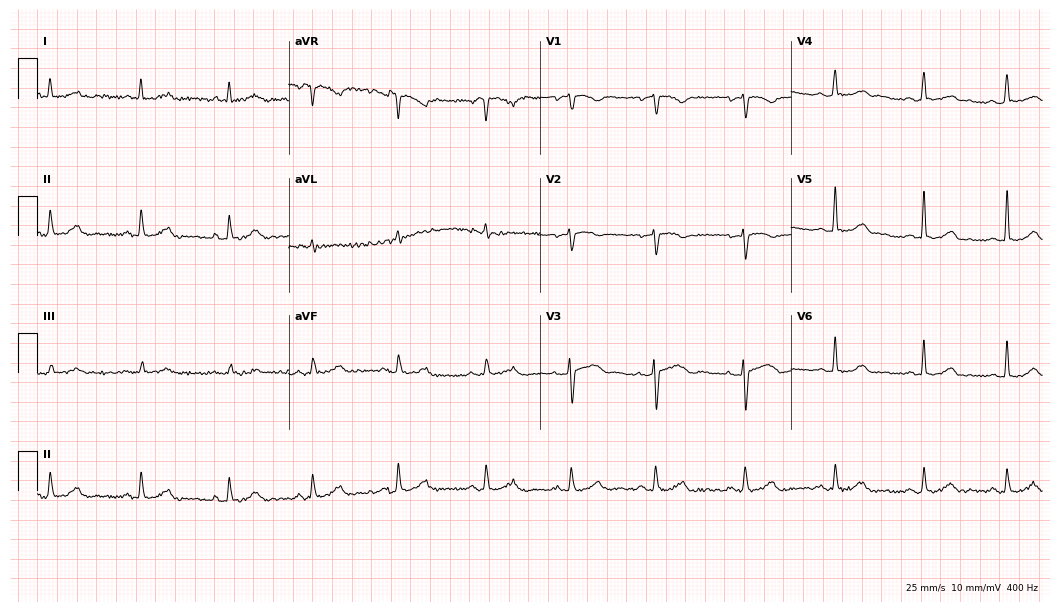
Electrocardiogram, a woman, 42 years old. Overall reading on record: normal ECG.